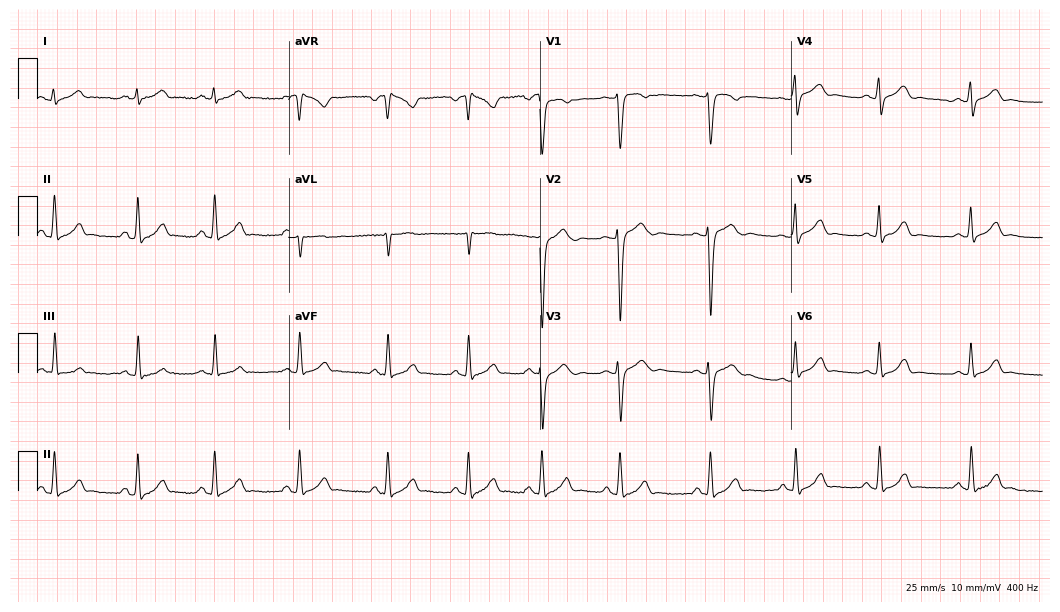
Standard 12-lead ECG recorded from a woman, 20 years old (10.2-second recording at 400 Hz). Read as a normal ECG.